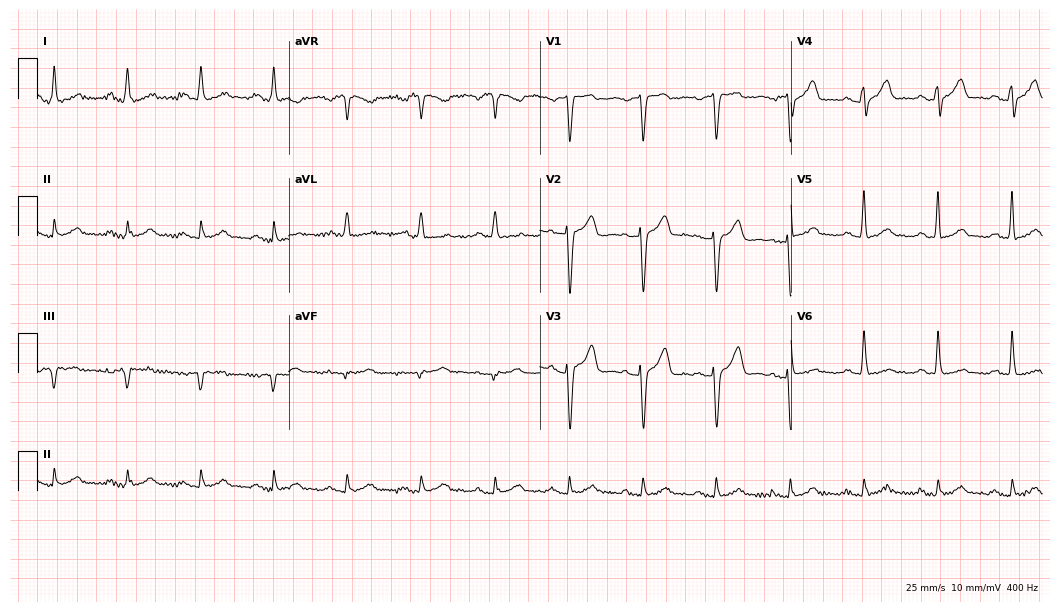
ECG (10.2-second recording at 400 Hz) — a 63-year-old male. Screened for six findings — first-degree AV block, right bundle branch block, left bundle branch block, sinus bradycardia, atrial fibrillation, sinus tachycardia — none is recorded.